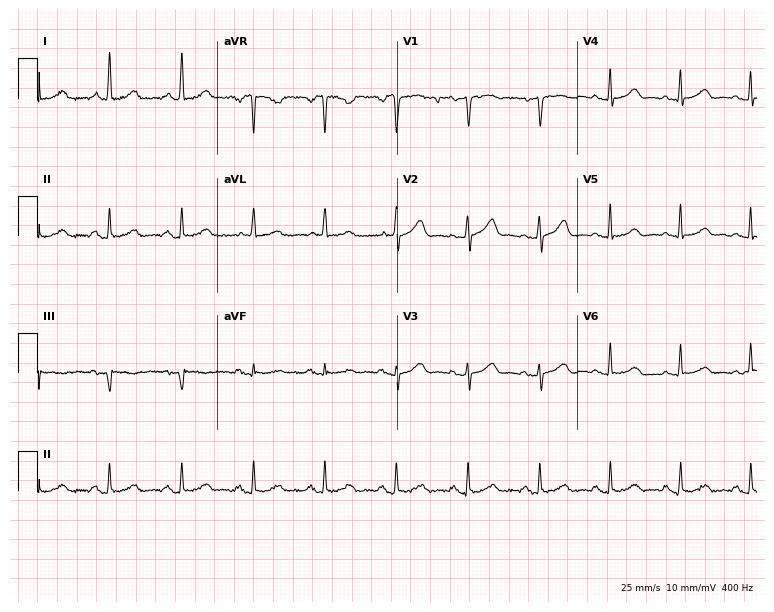
12-lead ECG (7.3-second recording at 400 Hz) from a woman, 71 years old. Labelled as a normal ECG.